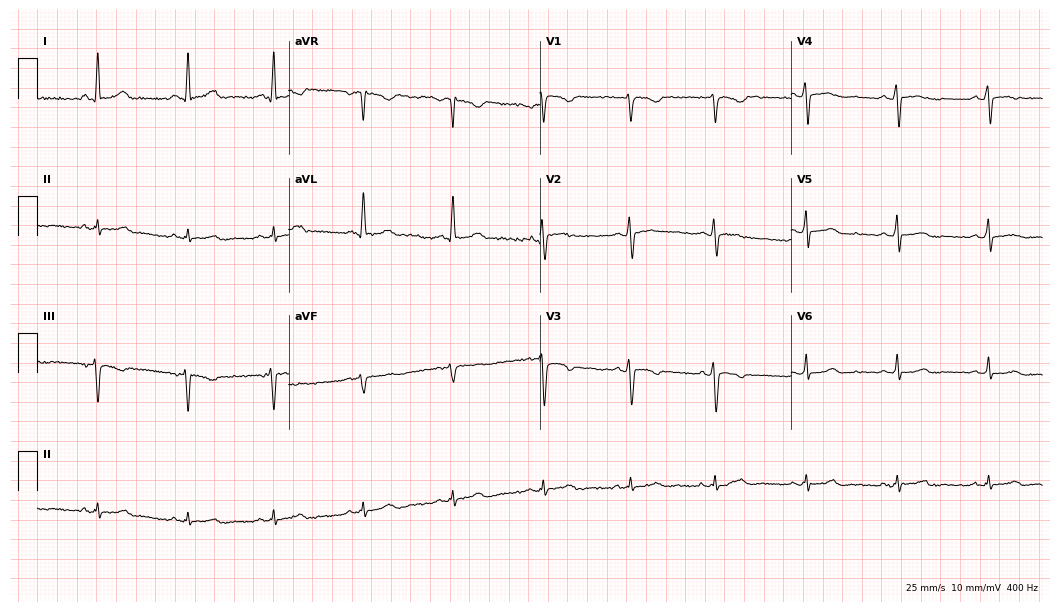
ECG (10.2-second recording at 400 Hz) — a 51-year-old woman. Screened for six findings — first-degree AV block, right bundle branch block (RBBB), left bundle branch block (LBBB), sinus bradycardia, atrial fibrillation (AF), sinus tachycardia — none is recorded.